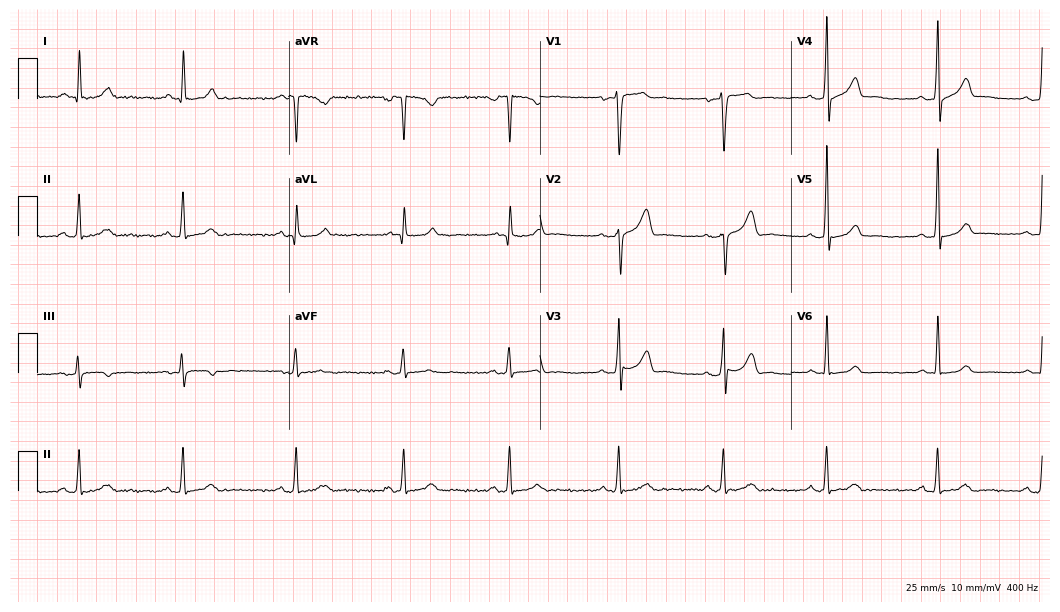
ECG (10.2-second recording at 400 Hz) — a male patient, 36 years old. Labelled as a normal ECG.